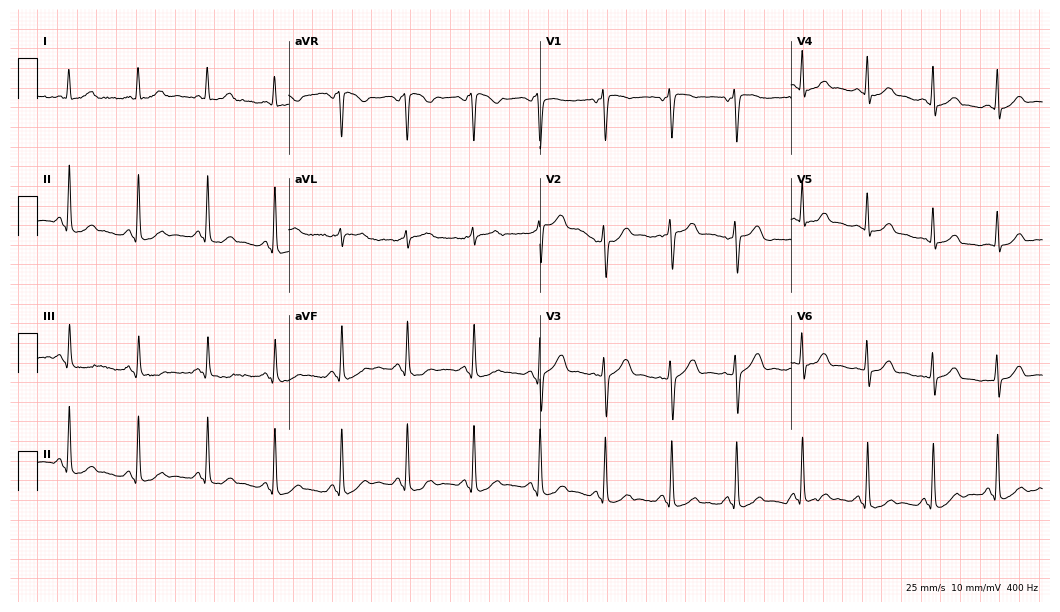
Resting 12-lead electrocardiogram (10.2-second recording at 400 Hz). Patient: a 41-year-old woman. None of these six findings is recorded: first-degree AV block, right bundle branch block, left bundle branch block, sinus bradycardia, atrial fibrillation, sinus tachycardia.